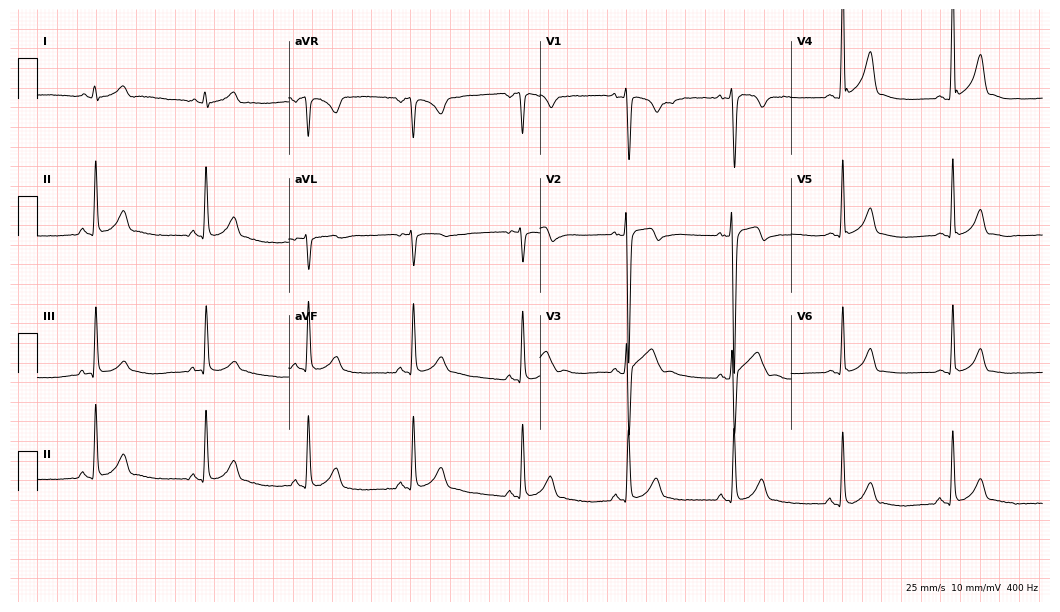
ECG — a 19-year-old man. Labelled as a normal ECG.